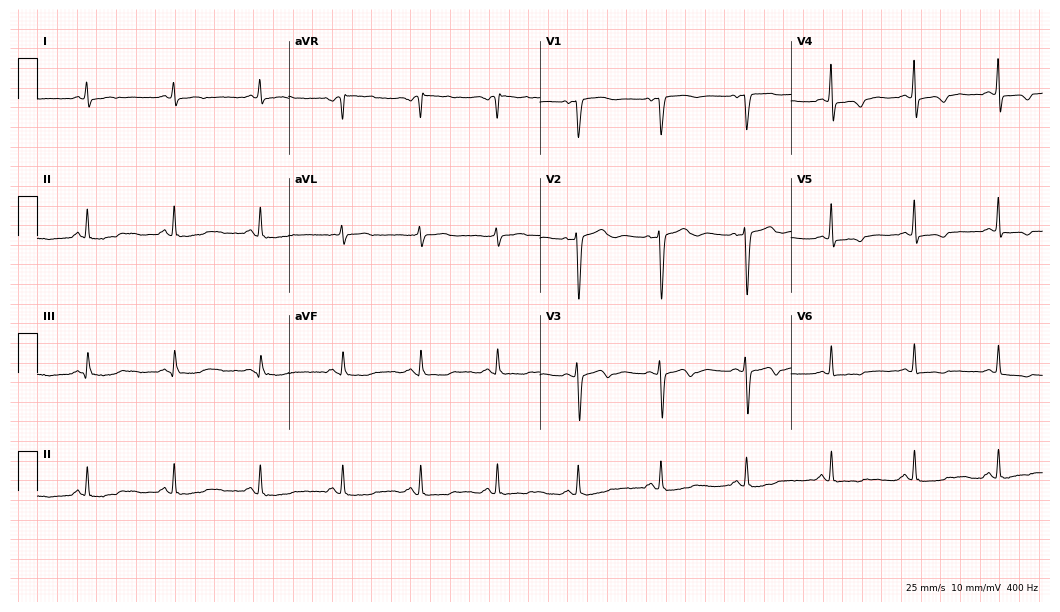
12-lead ECG (10.2-second recording at 400 Hz) from a female, 40 years old. Screened for six findings — first-degree AV block, right bundle branch block, left bundle branch block, sinus bradycardia, atrial fibrillation, sinus tachycardia — none is recorded.